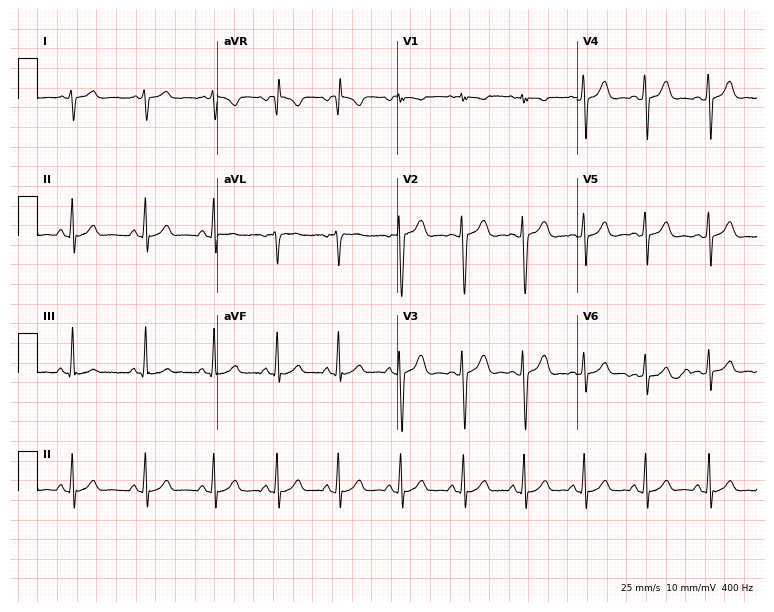
ECG (7.3-second recording at 400 Hz) — a female patient, 19 years old. Screened for six findings — first-degree AV block, right bundle branch block (RBBB), left bundle branch block (LBBB), sinus bradycardia, atrial fibrillation (AF), sinus tachycardia — none is recorded. Other findings, if any, are not listed.